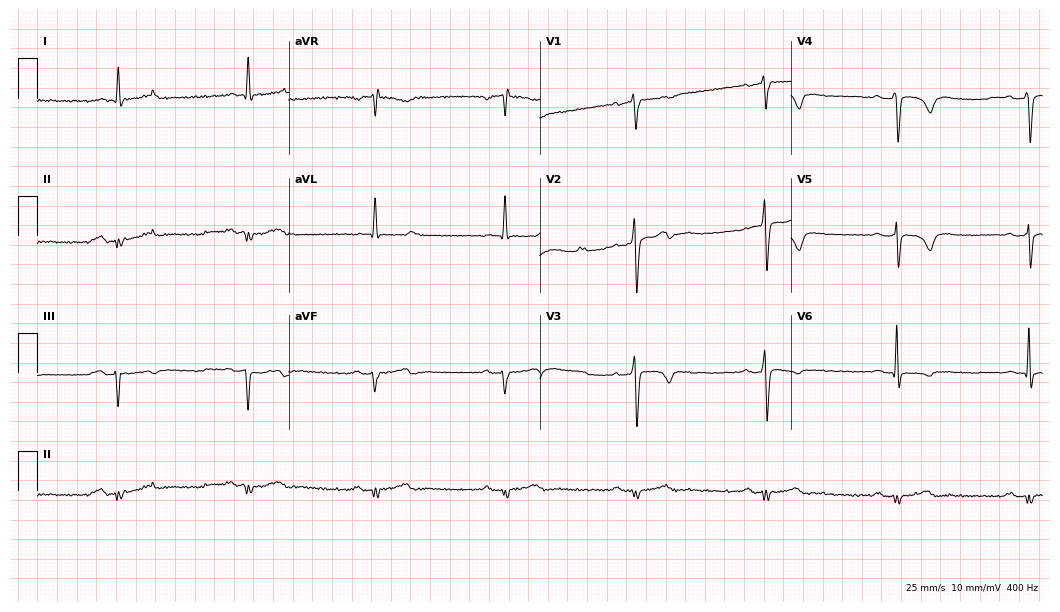
Resting 12-lead electrocardiogram. Patient: a 63-year-old male. The tracing shows sinus bradycardia (a sinus rate of 50 beats per minute or less).